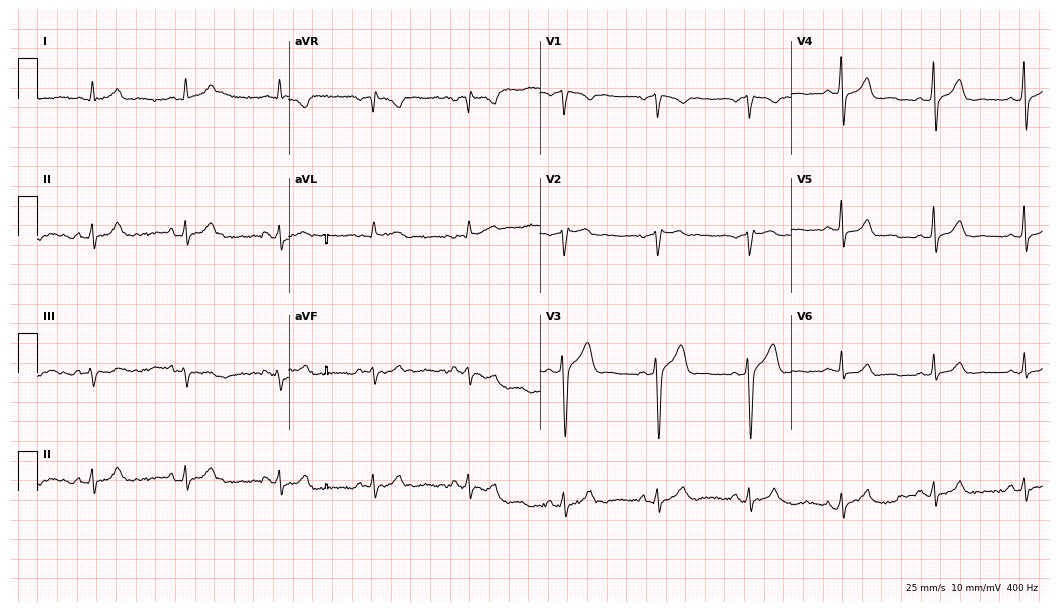
Electrocardiogram (10.2-second recording at 400 Hz), a 50-year-old male patient. Overall reading on record: normal ECG.